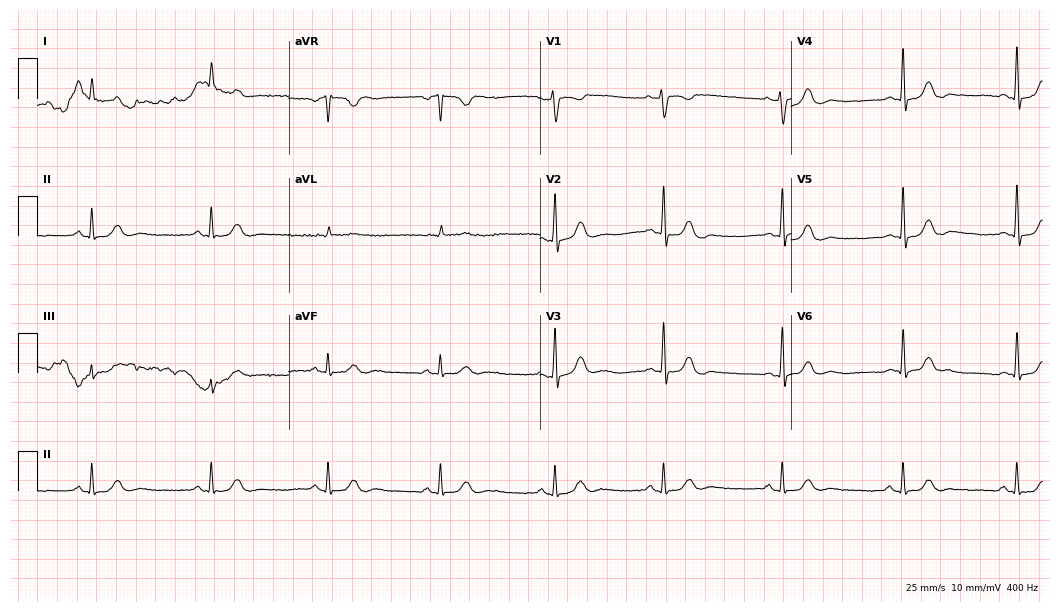
12-lead ECG from a female patient, 52 years old. Shows sinus bradycardia (a sinus rate of 50 beats per minute or less).